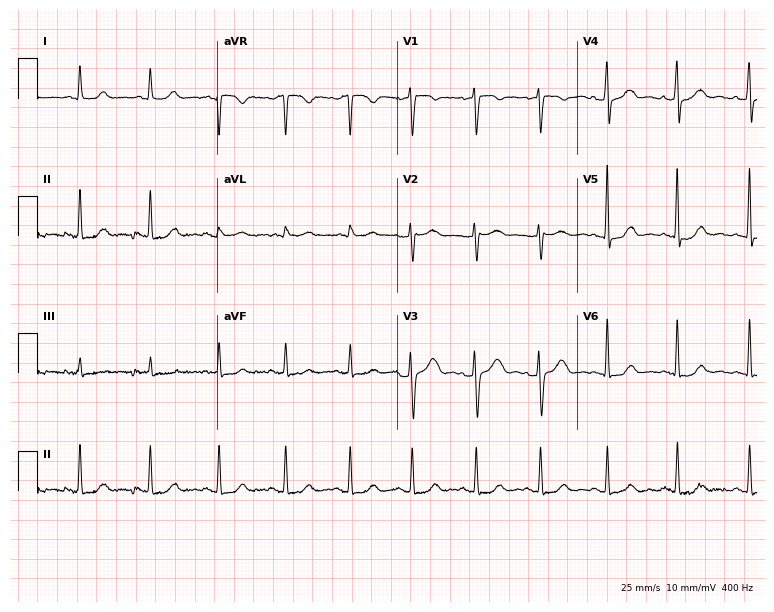
Resting 12-lead electrocardiogram (7.3-second recording at 400 Hz). Patient: a 46-year-old woman. Read as a normal ECG.